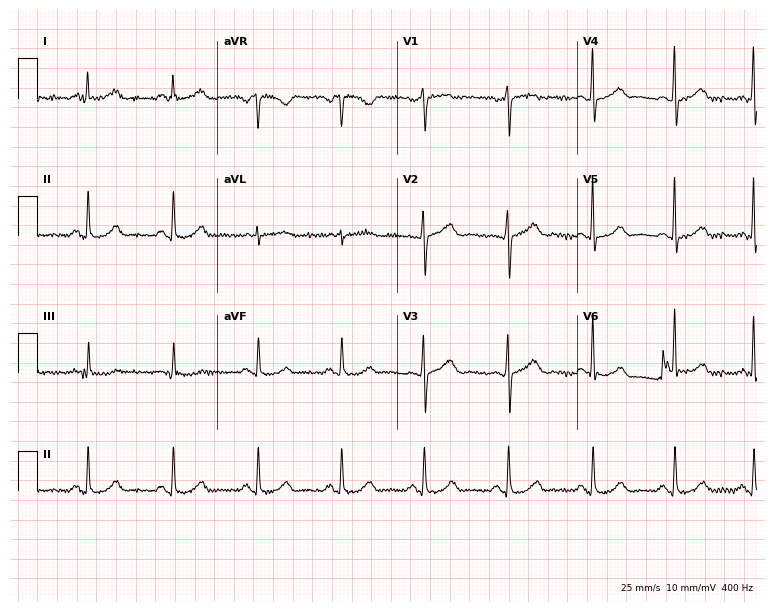
Electrocardiogram, a female, 52 years old. Of the six screened findings (first-degree AV block, right bundle branch block, left bundle branch block, sinus bradycardia, atrial fibrillation, sinus tachycardia), none is recorded.